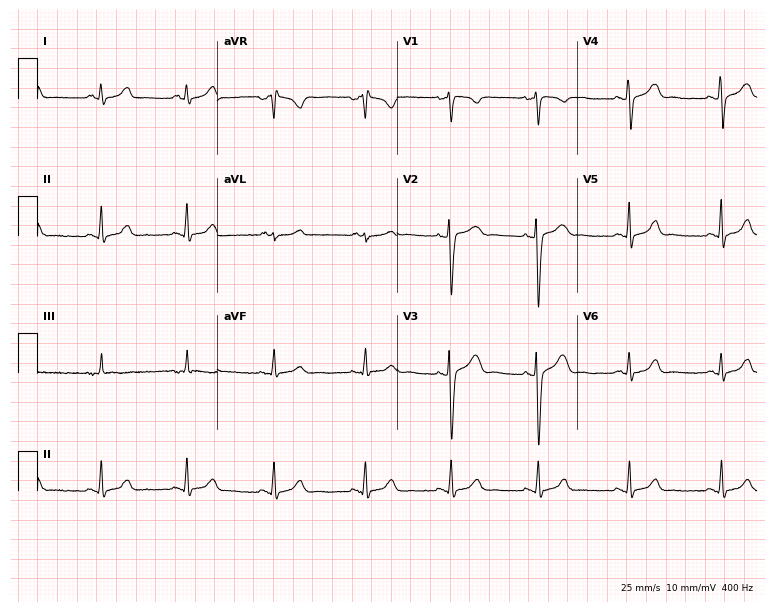
12-lead ECG from a 28-year-old female patient (7.3-second recording at 400 Hz). Recorded interpretation: within normal limits.